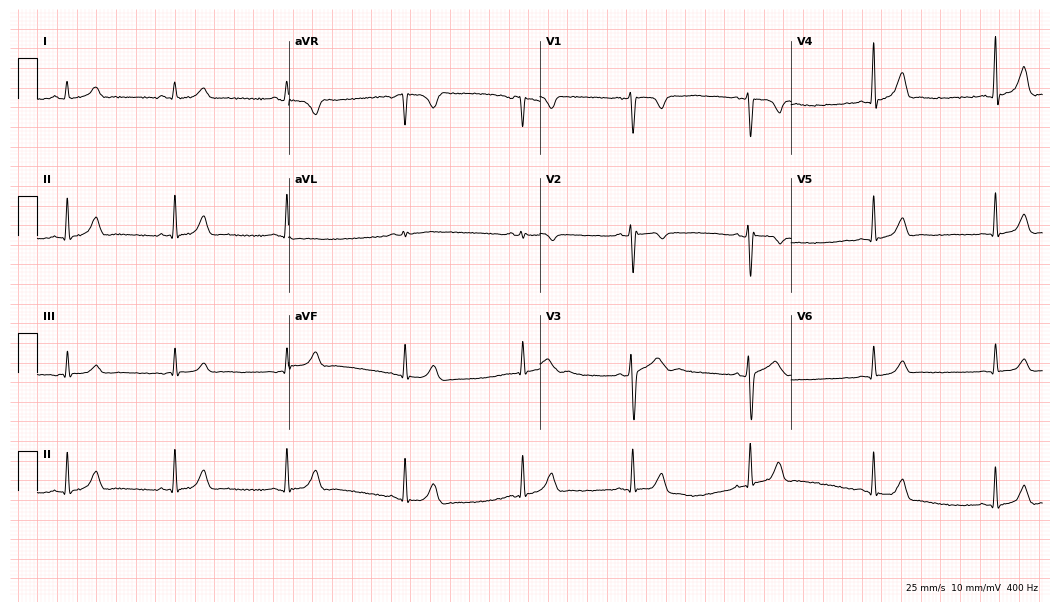
Resting 12-lead electrocardiogram. Patient: a 21-year-old male. Read as a normal ECG.